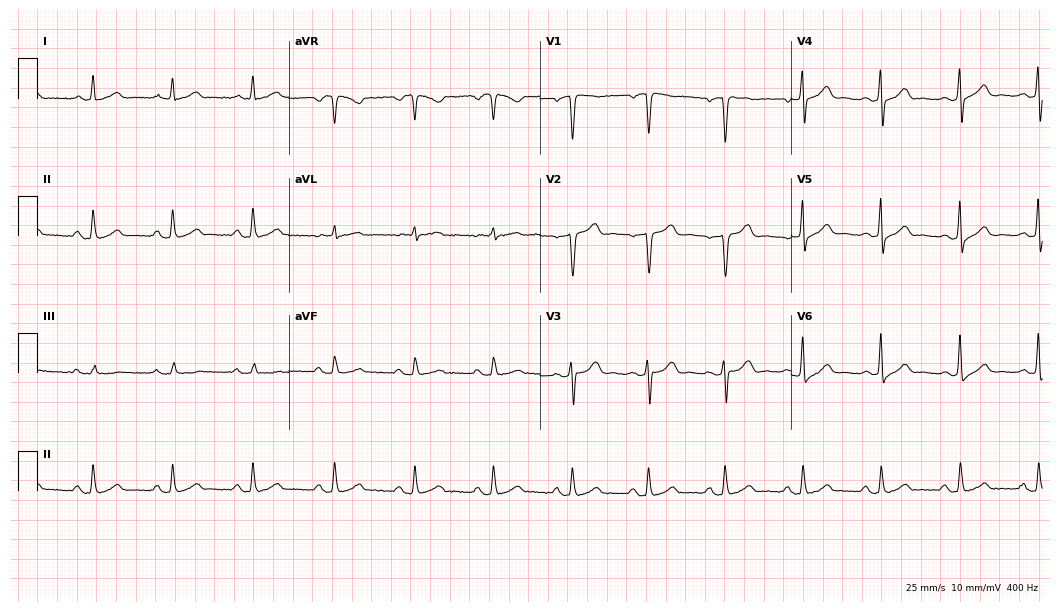
Resting 12-lead electrocardiogram. Patient: a male, 50 years old. None of these six findings is recorded: first-degree AV block, right bundle branch block (RBBB), left bundle branch block (LBBB), sinus bradycardia, atrial fibrillation (AF), sinus tachycardia.